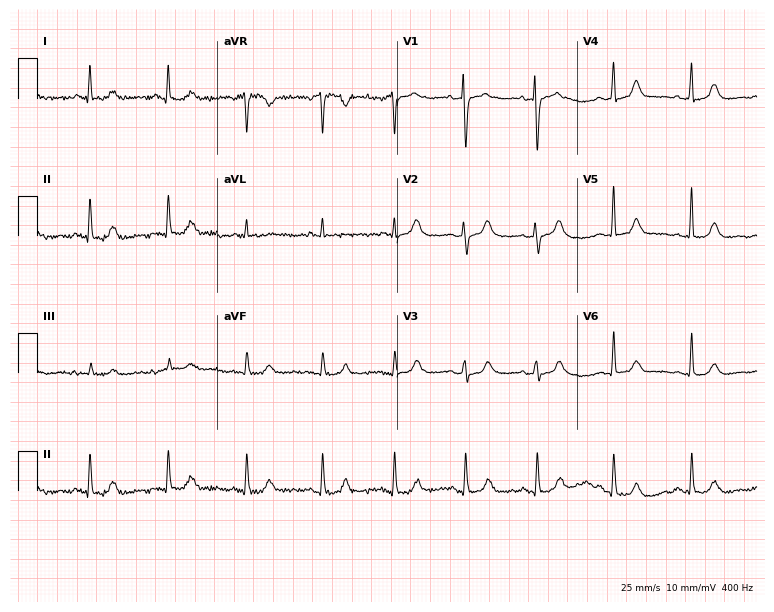
12-lead ECG (7.3-second recording at 400 Hz) from a woman, 83 years old. Labelled as a normal ECG.